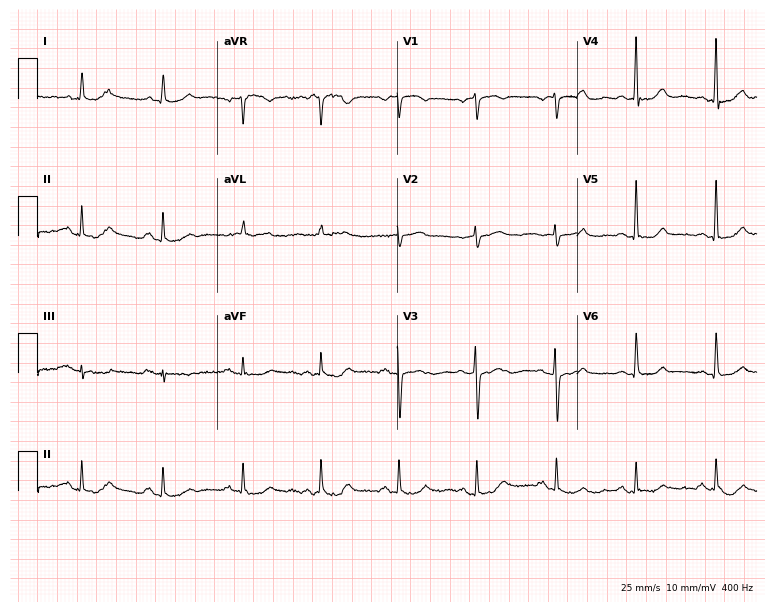
Electrocardiogram (7.3-second recording at 400 Hz), a 73-year-old female. Overall reading on record: normal ECG.